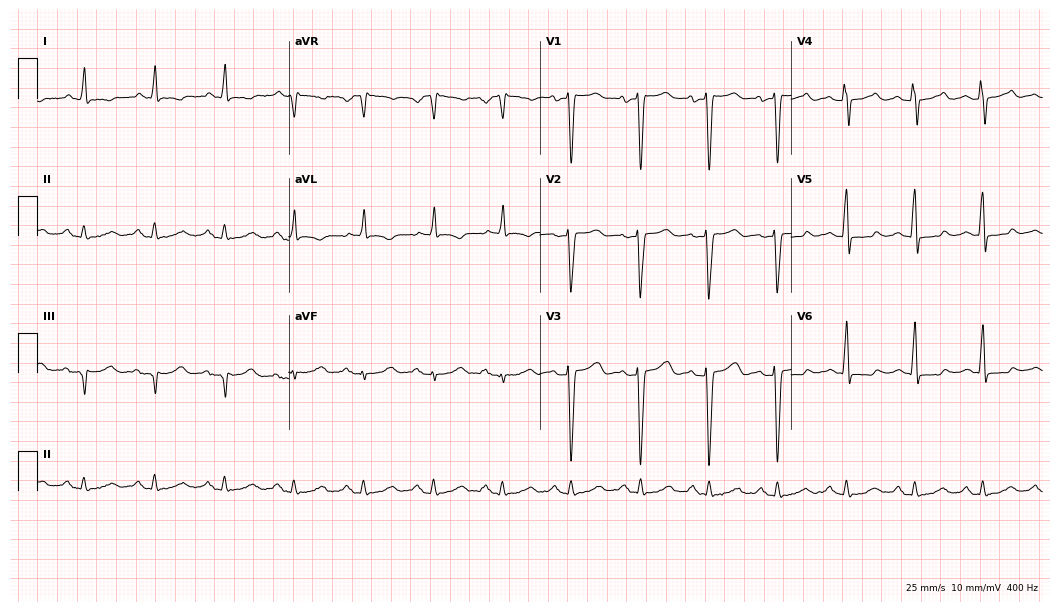
Electrocardiogram (10.2-second recording at 400 Hz), a 45-year-old male patient. Of the six screened findings (first-degree AV block, right bundle branch block (RBBB), left bundle branch block (LBBB), sinus bradycardia, atrial fibrillation (AF), sinus tachycardia), none is recorded.